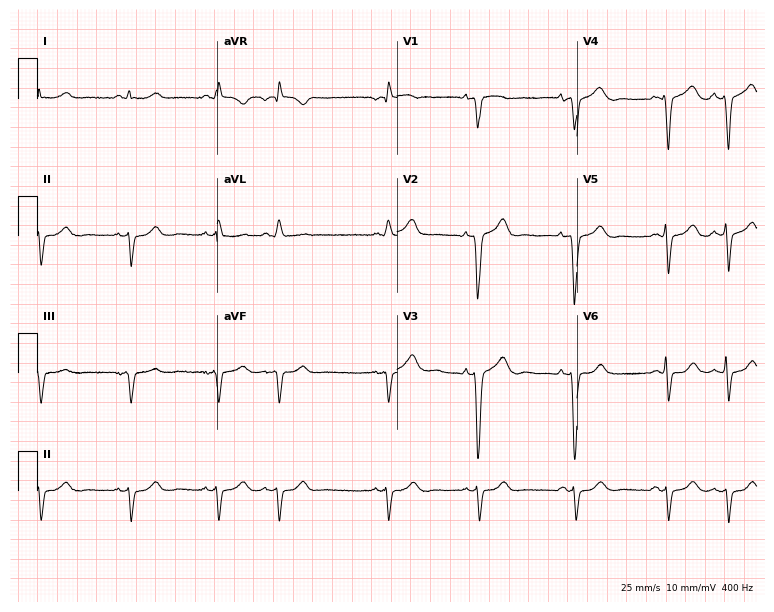
12-lead ECG from a 59-year-old male patient. No first-degree AV block, right bundle branch block, left bundle branch block, sinus bradycardia, atrial fibrillation or sinus tachycardia recorded for this tracing. Other findings, if any, are not listed.